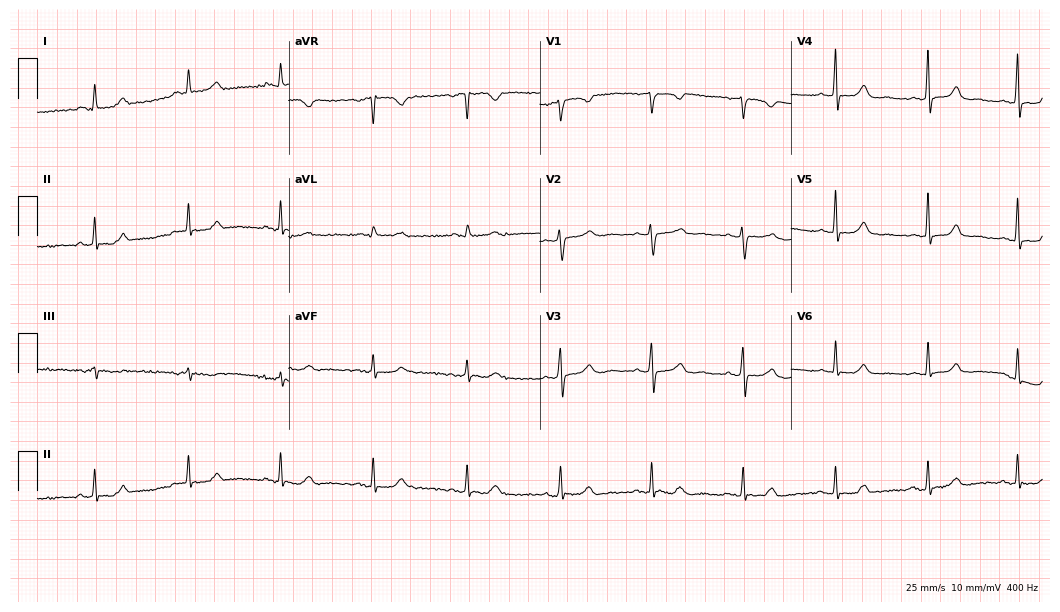
ECG (10.2-second recording at 400 Hz) — a female patient, 63 years old. Labelled as a normal ECG.